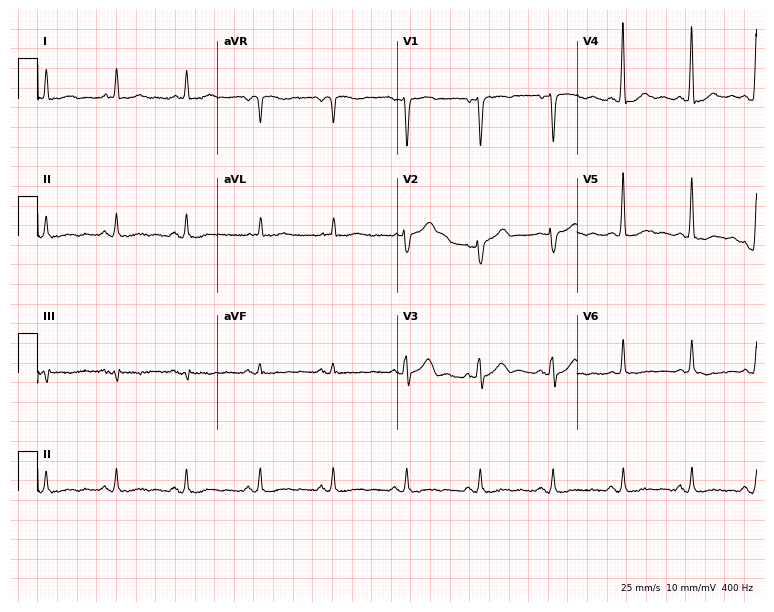
Electrocardiogram (7.3-second recording at 400 Hz), a 50-year-old male patient. Overall reading on record: normal ECG.